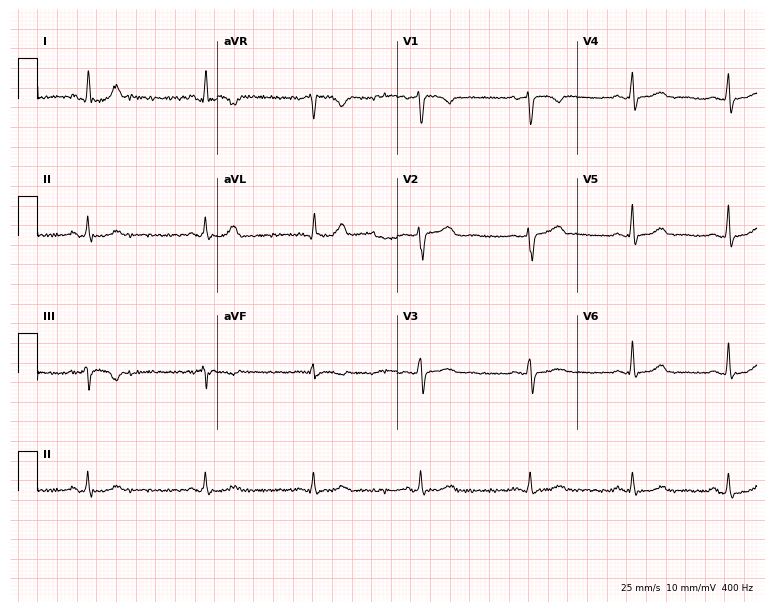
12-lead ECG from a 41-year-old female patient (7.3-second recording at 400 Hz). No first-degree AV block, right bundle branch block, left bundle branch block, sinus bradycardia, atrial fibrillation or sinus tachycardia recorded for this tracing. Findings outside these six are not listed.